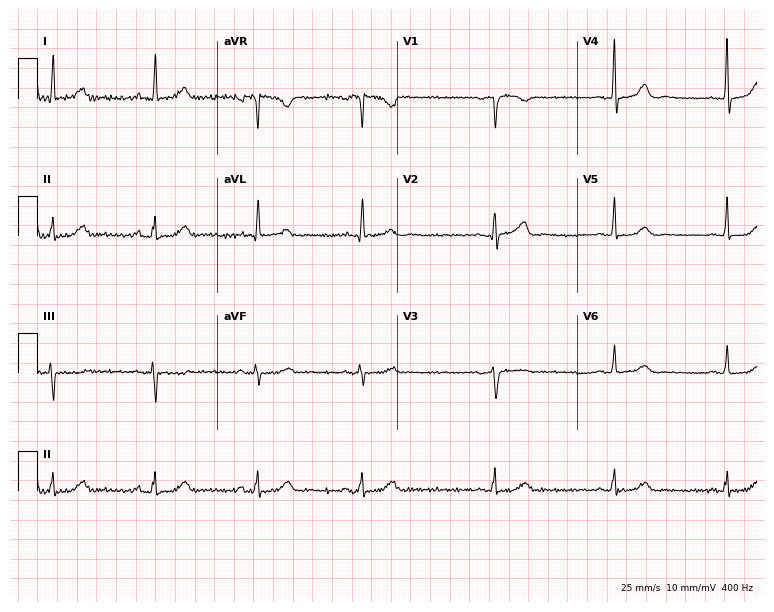
Electrocardiogram (7.3-second recording at 400 Hz), a 77-year-old female patient. Of the six screened findings (first-degree AV block, right bundle branch block (RBBB), left bundle branch block (LBBB), sinus bradycardia, atrial fibrillation (AF), sinus tachycardia), none is recorded.